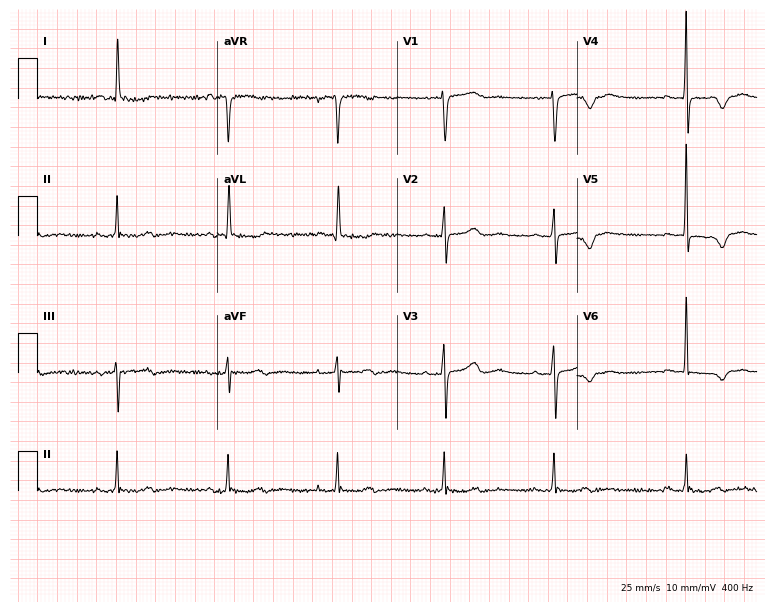
Resting 12-lead electrocardiogram. Patient: a female, 79 years old. None of these six findings is recorded: first-degree AV block, right bundle branch block (RBBB), left bundle branch block (LBBB), sinus bradycardia, atrial fibrillation (AF), sinus tachycardia.